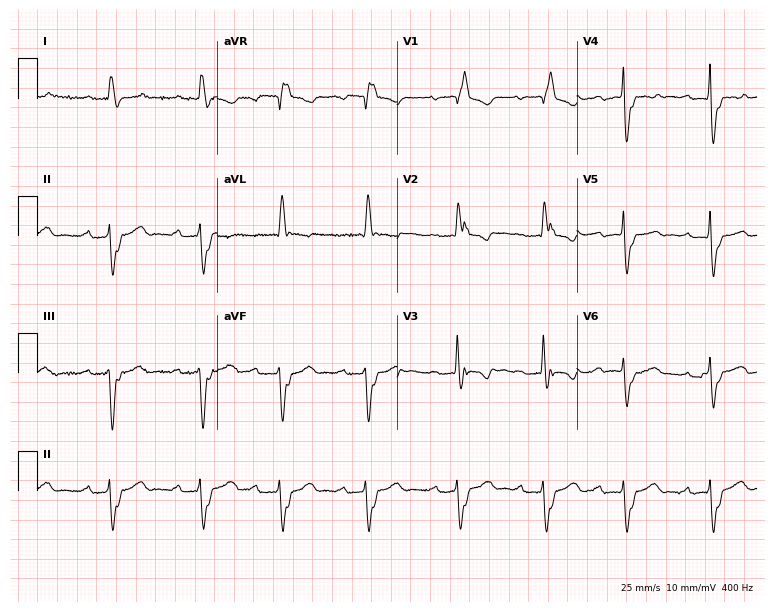
Electrocardiogram (7.3-second recording at 400 Hz), a woman, 86 years old. Interpretation includes first-degree AV block, right bundle branch block.